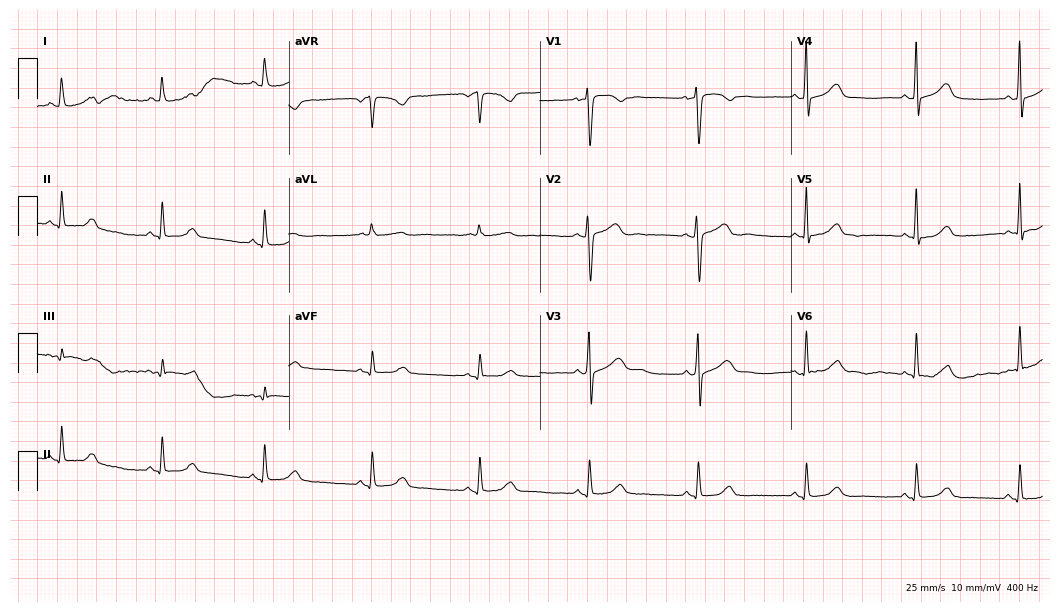
12-lead ECG from a 32-year-old woman. Labelled as a normal ECG.